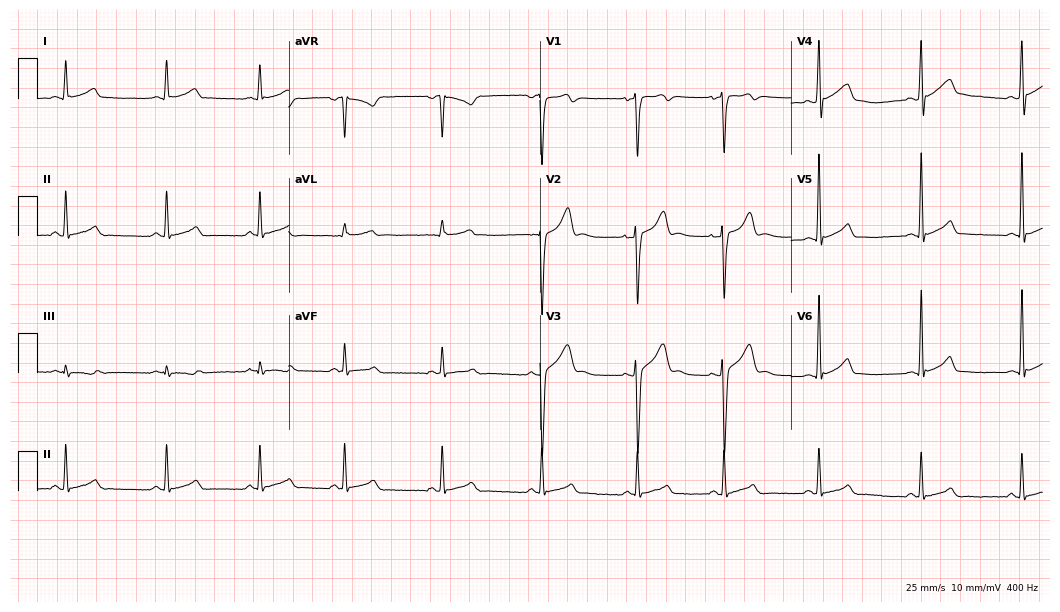
12-lead ECG (10.2-second recording at 400 Hz) from a 30-year-old male. Labelled as a normal ECG.